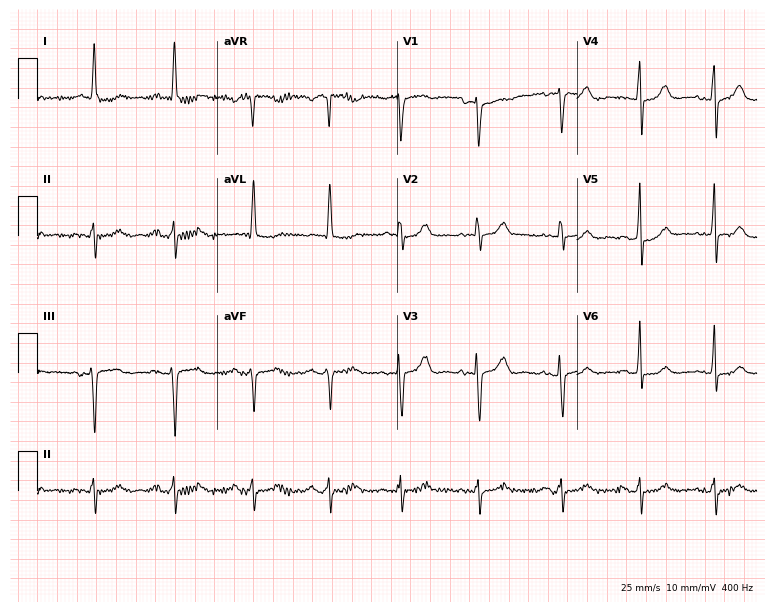
Resting 12-lead electrocardiogram. Patient: a 78-year-old woman. Read as a normal ECG.